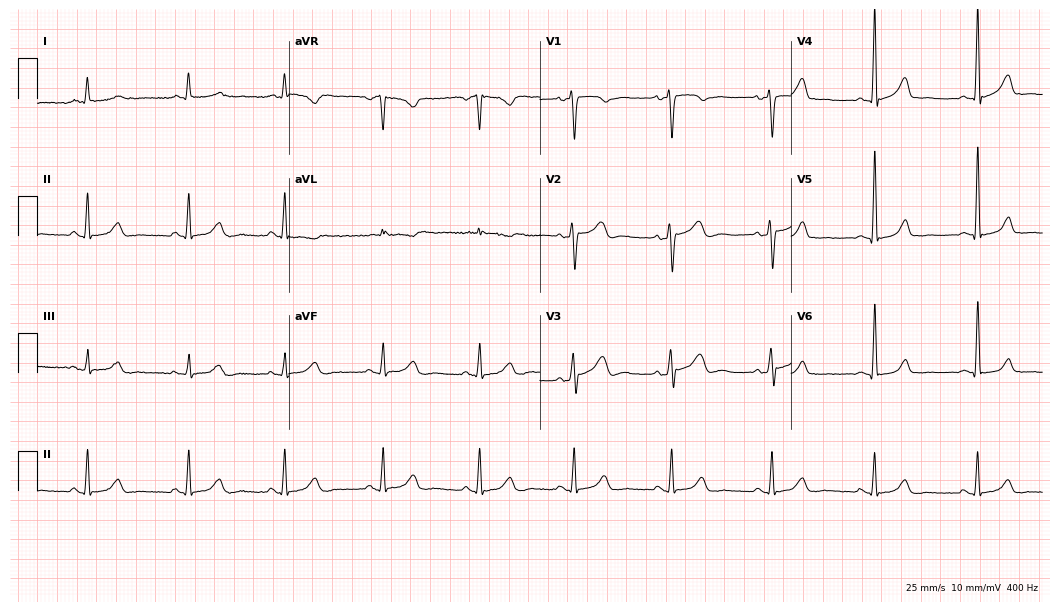
12-lead ECG (10.2-second recording at 400 Hz) from a female, 39 years old. Labelled as a normal ECG.